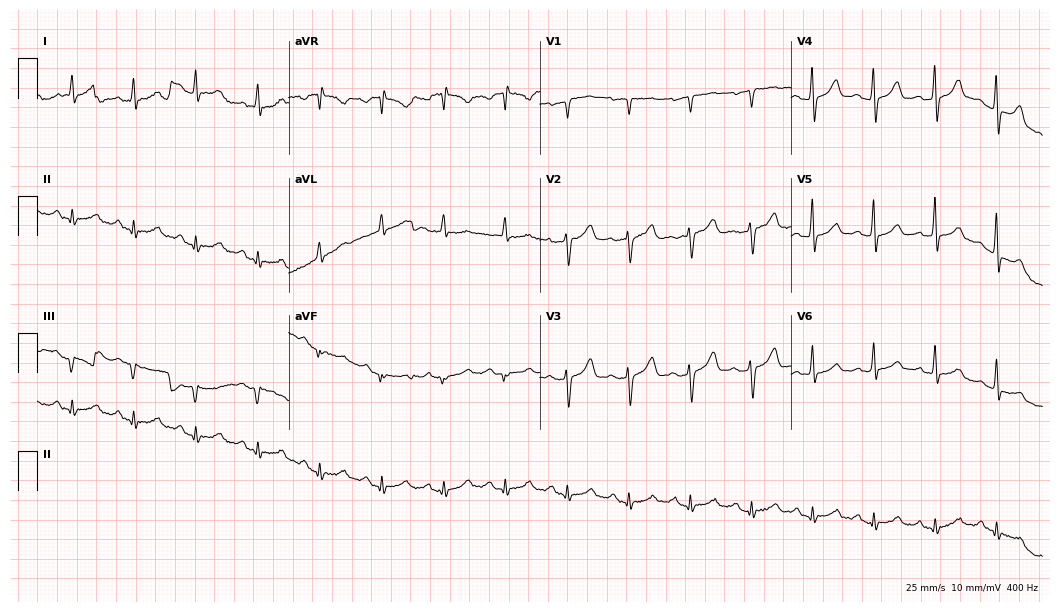
Electrocardiogram (10.2-second recording at 400 Hz), a 63-year-old male patient. Of the six screened findings (first-degree AV block, right bundle branch block (RBBB), left bundle branch block (LBBB), sinus bradycardia, atrial fibrillation (AF), sinus tachycardia), none is recorded.